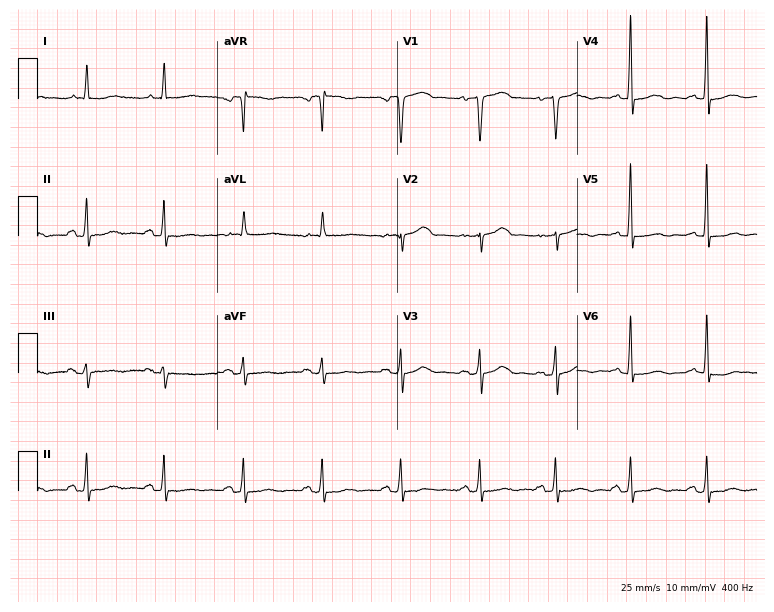
12-lead ECG from a woman, 78 years old. Recorded interpretation: within normal limits.